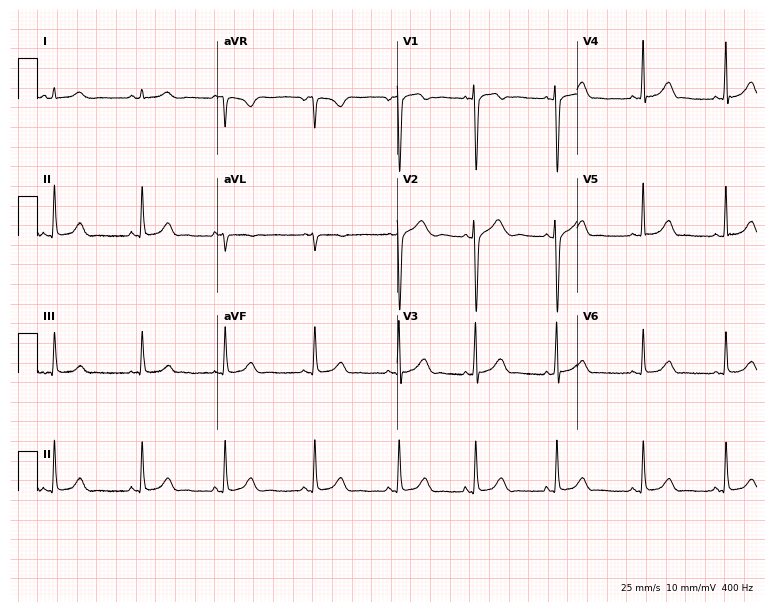
Electrocardiogram (7.3-second recording at 400 Hz), a female, 18 years old. Of the six screened findings (first-degree AV block, right bundle branch block (RBBB), left bundle branch block (LBBB), sinus bradycardia, atrial fibrillation (AF), sinus tachycardia), none is recorded. Findings outside these six are not listed.